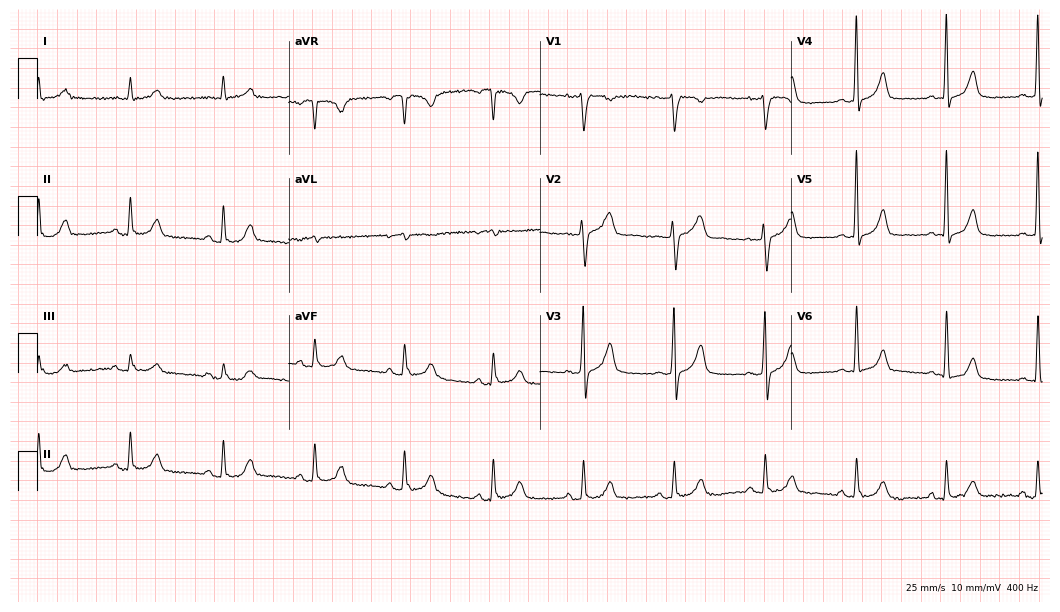
Standard 12-lead ECG recorded from a male, 68 years old (10.2-second recording at 400 Hz). Read as a normal ECG.